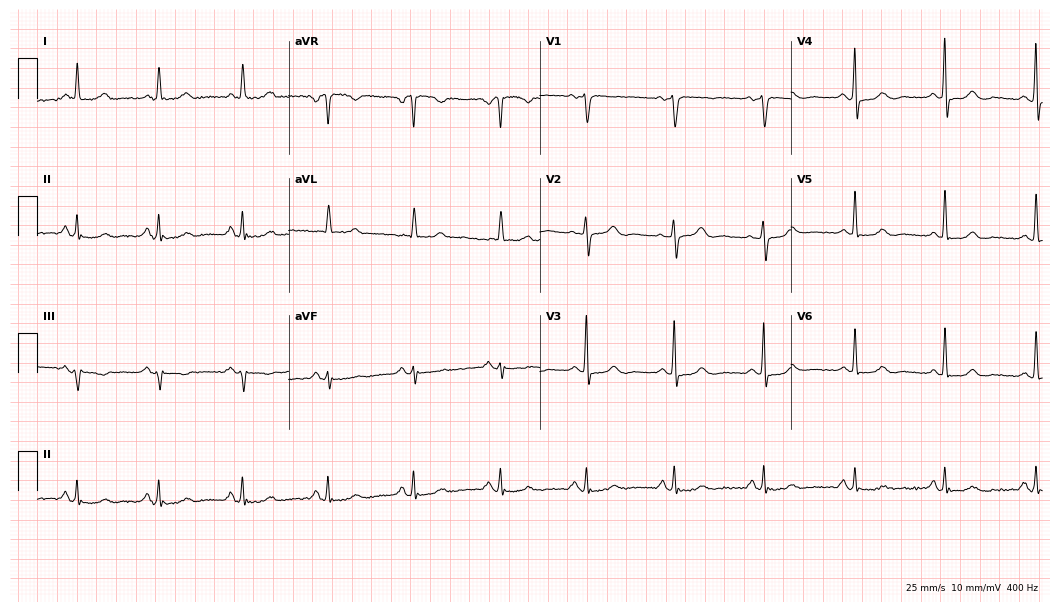
12-lead ECG from a woman, 62 years old. Labelled as a normal ECG.